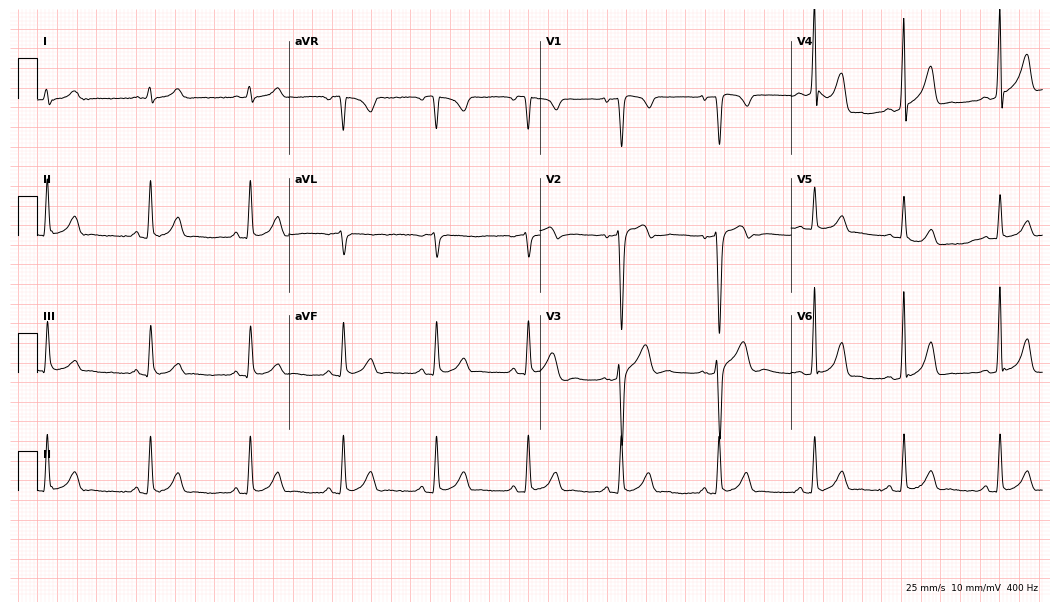
Standard 12-lead ECG recorded from a 22-year-old man (10.2-second recording at 400 Hz). None of these six findings is recorded: first-degree AV block, right bundle branch block, left bundle branch block, sinus bradycardia, atrial fibrillation, sinus tachycardia.